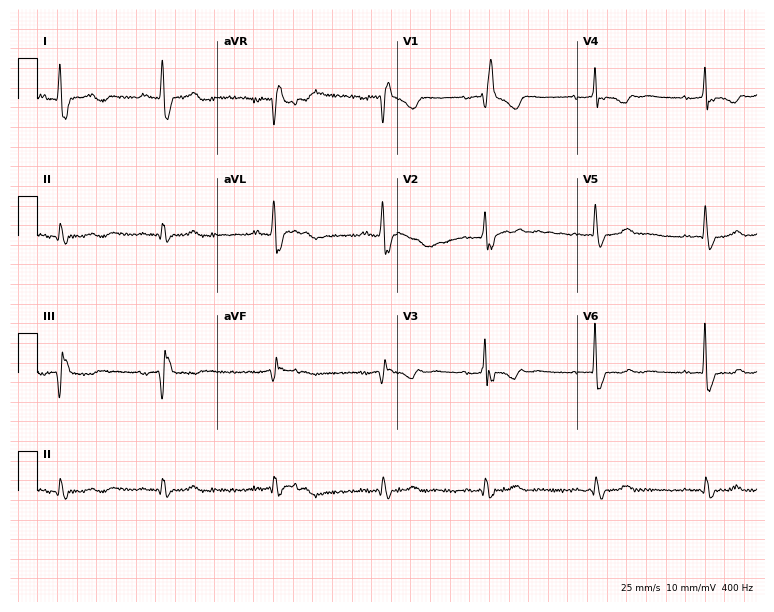
Standard 12-lead ECG recorded from a 70-year-old female. The tracing shows right bundle branch block.